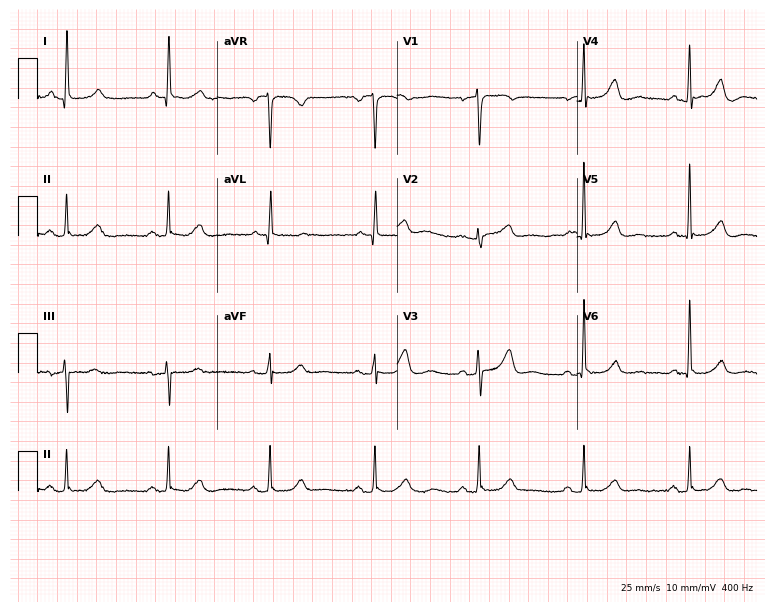
Electrocardiogram, a 63-year-old female patient. Overall reading on record: normal ECG.